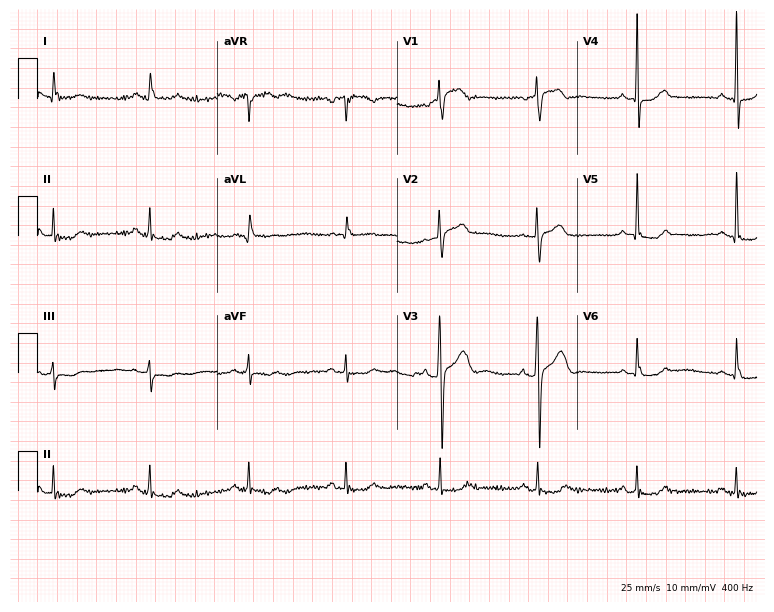
Electrocardiogram (7.3-second recording at 400 Hz), a man, 62 years old. Of the six screened findings (first-degree AV block, right bundle branch block, left bundle branch block, sinus bradycardia, atrial fibrillation, sinus tachycardia), none is recorded. Only these six findings were labelled.